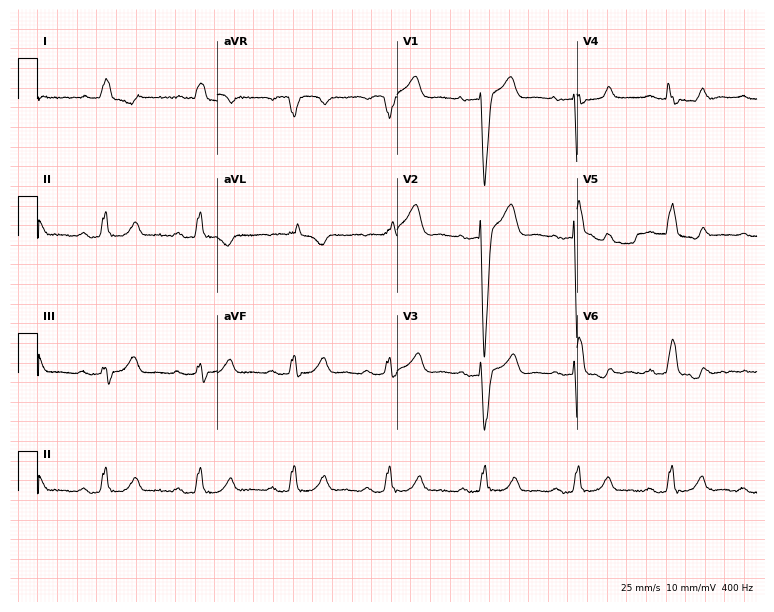
Standard 12-lead ECG recorded from a 77-year-old woman. The tracing shows left bundle branch block.